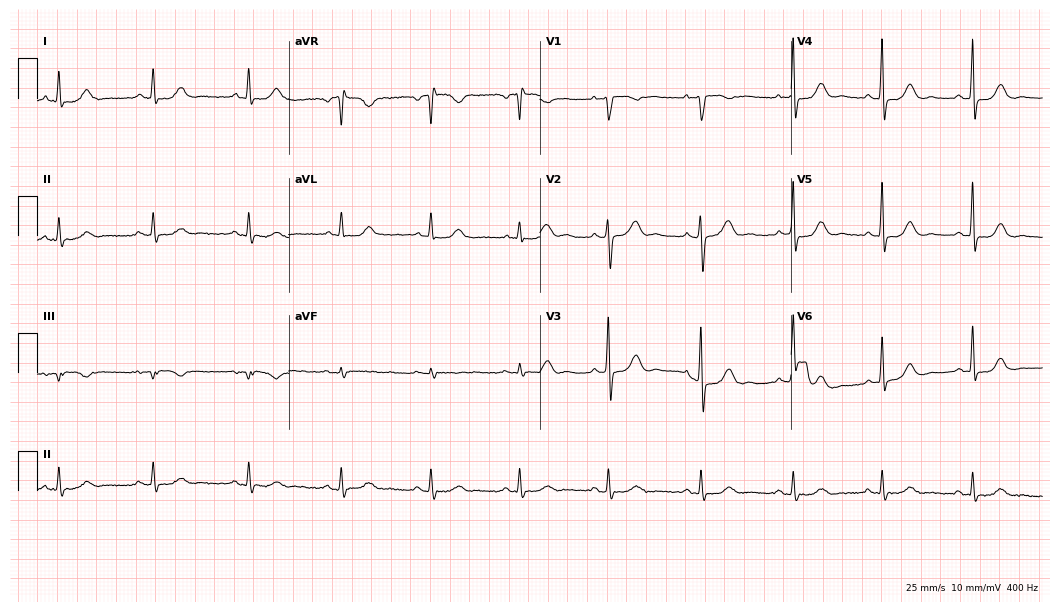
12-lead ECG (10.2-second recording at 400 Hz) from a woman, 57 years old. Screened for six findings — first-degree AV block, right bundle branch block, left bundle branch block, sinus bradycardia, atrial fibrillation, sinus tachycardia — none is recorded.